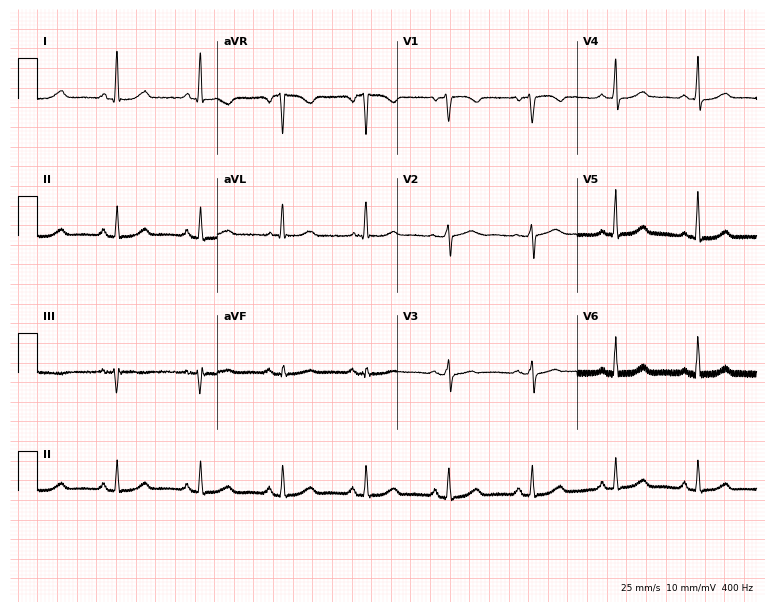
12-lead ECG (7.3-second recording at 400 Hz) from a 52-year-old female patient. Labelled as a normal ECG.